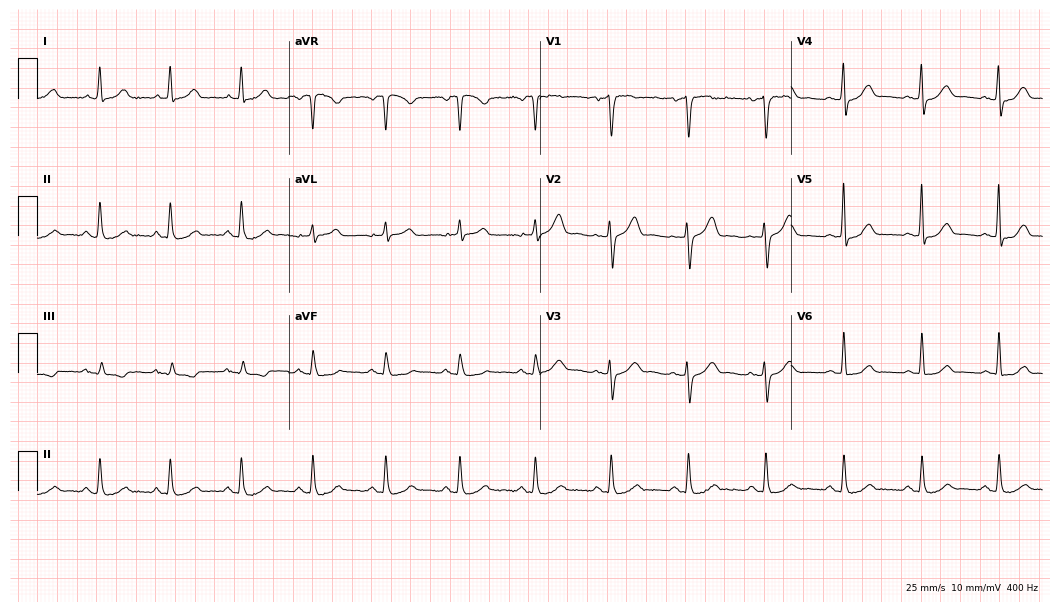
Electrocardiogram (10.2-second recording at 400 Hz), a male, 66 years old. Overall reading on record: normal ECG.